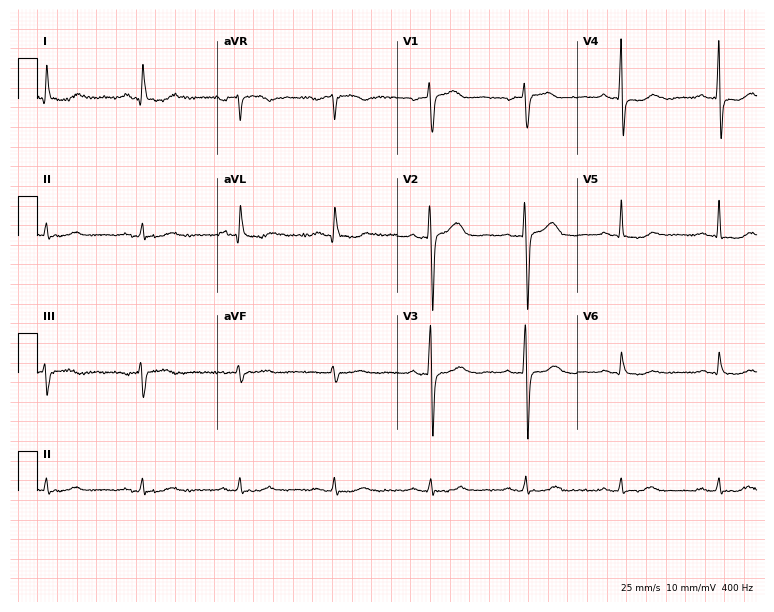
12-lead ECG from a male patient, 64 years old. No first-degree AV block, right bundle branch block (RBBB), left bundle branch block (LBBB), sinus bradycardia, atrial fibrillation (AF) or sinus tachycardia recorded for this tracing. Findings outside these six are not listed.